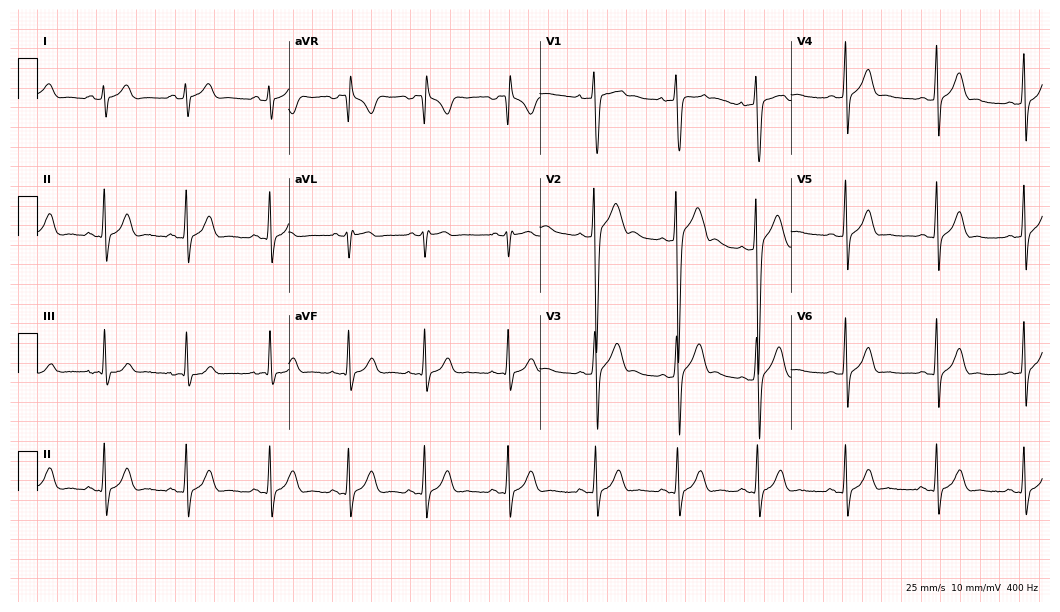
Standard 12-lead ECG recorded from a 20-year-old male patient. Read as a normal ECG.